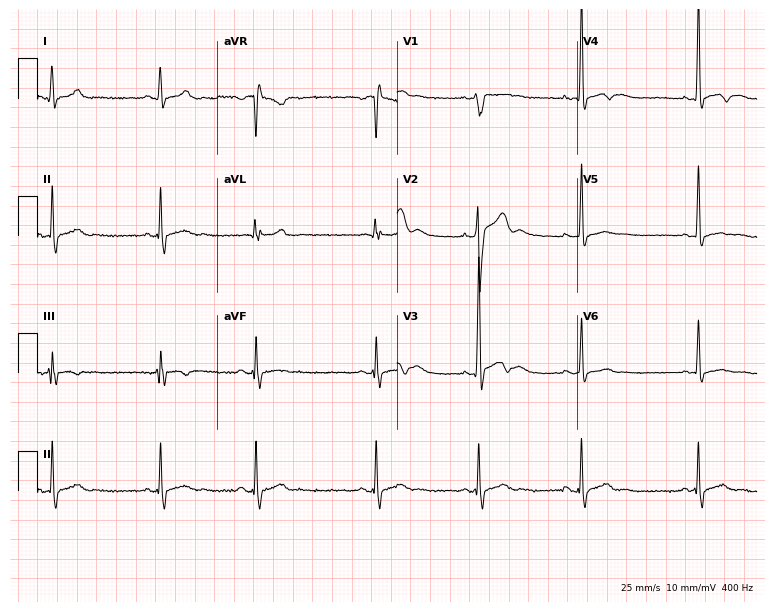
12-lead ECG from a male patient, 20 years old (7.3-second recording at 400 Hz). No first-degree AV block, right bundle branch block, left bundle branch block, sinus bradycardia, atrial fibrillation or sinus tachycardia recorded for this tracing.